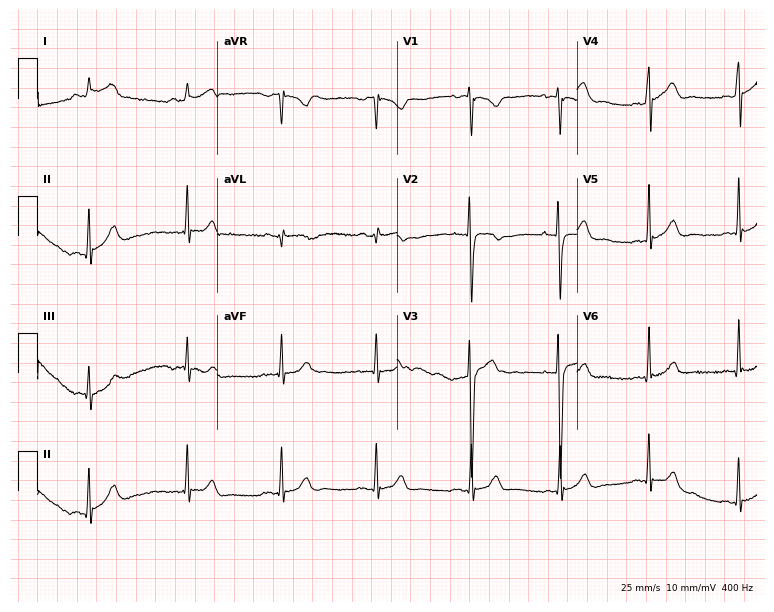
Standard 12-lead ECG recorded from a 21-year-old male patient. Read as a normal ECG.